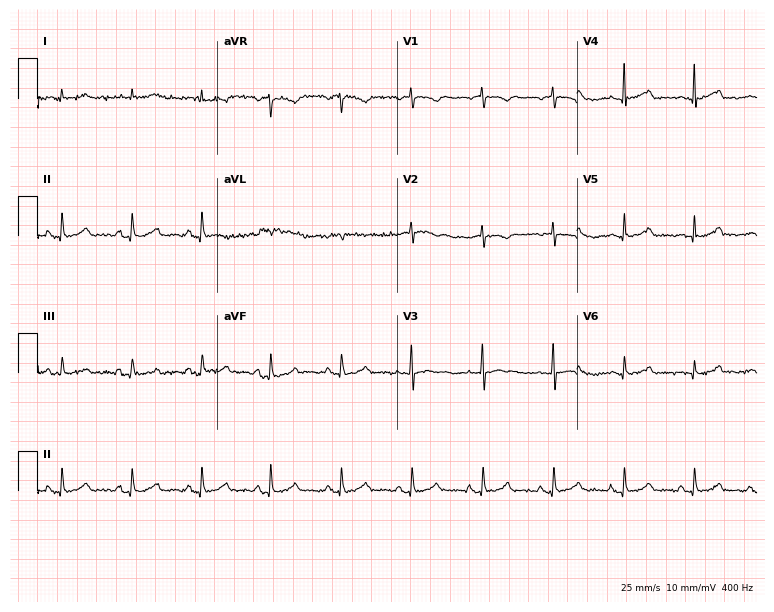
Resting 12-lead electrocardiogram. Patient: a female, 79 years old. None of these six findings is recorded: first-degree AV block, right bundle branch block, left bundle branch block, sinus bradycardia, atrial fibrillation, sinus tachycardia. Findings outside these six are not listed.